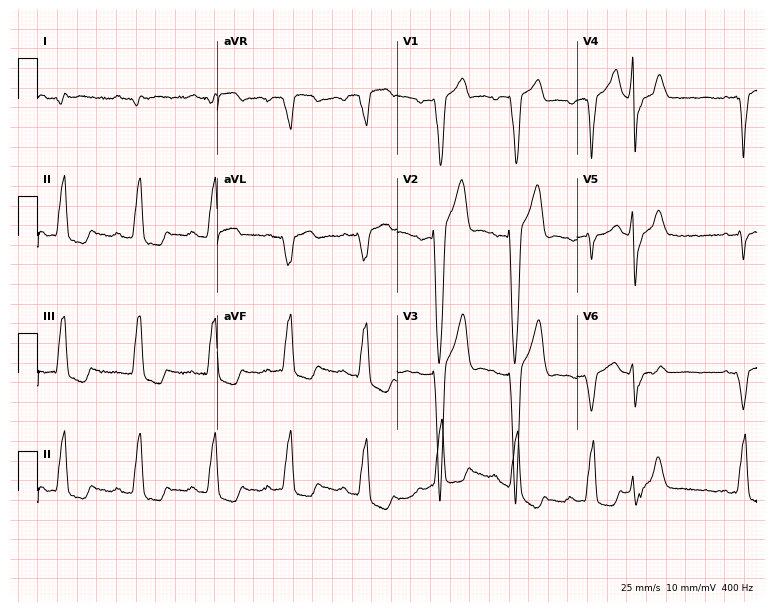
12-lead ECG from a 75-year-old man. No first-degree AV block, right bundle branch block, left bundle branch block, sinus bradycardia, atrial fibrillation or sinus tachycardia recorded for this tracing. Only these six findings were labelled.